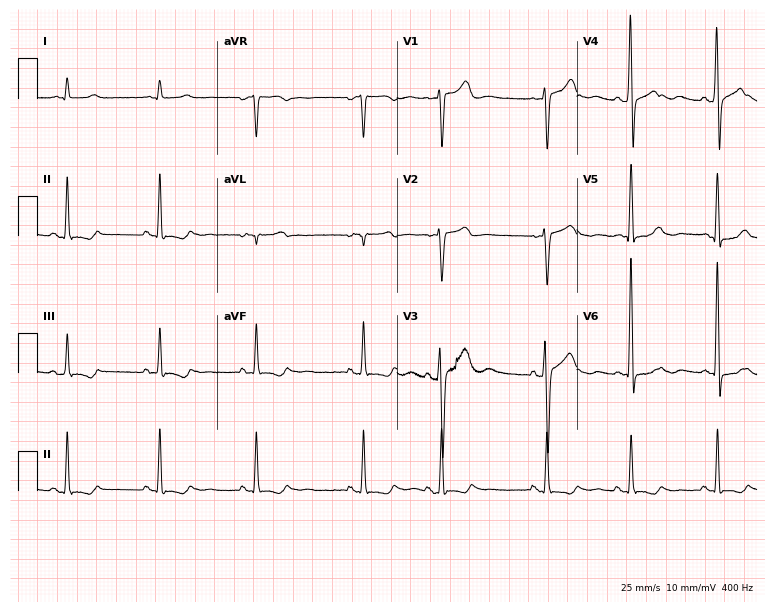
Electrocardiogram, a male, 55 years old. Of the six screened findings (first-degree AV block, right bundle branch block (RBBB), left bundle branch block (LBBB), sinus bradycardia, atrial fibrillation (AF), sinus tachycardia), none is recorded.